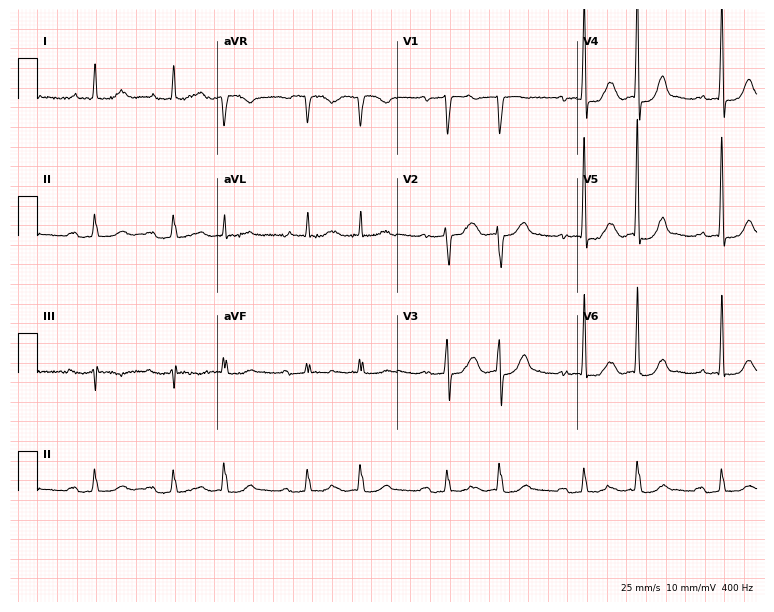
Resting 12-lead electrocardiogram (7.3-second recording at 400 Hz). Patient: a man, 86 years old. The tracing shows first-degree AV block.